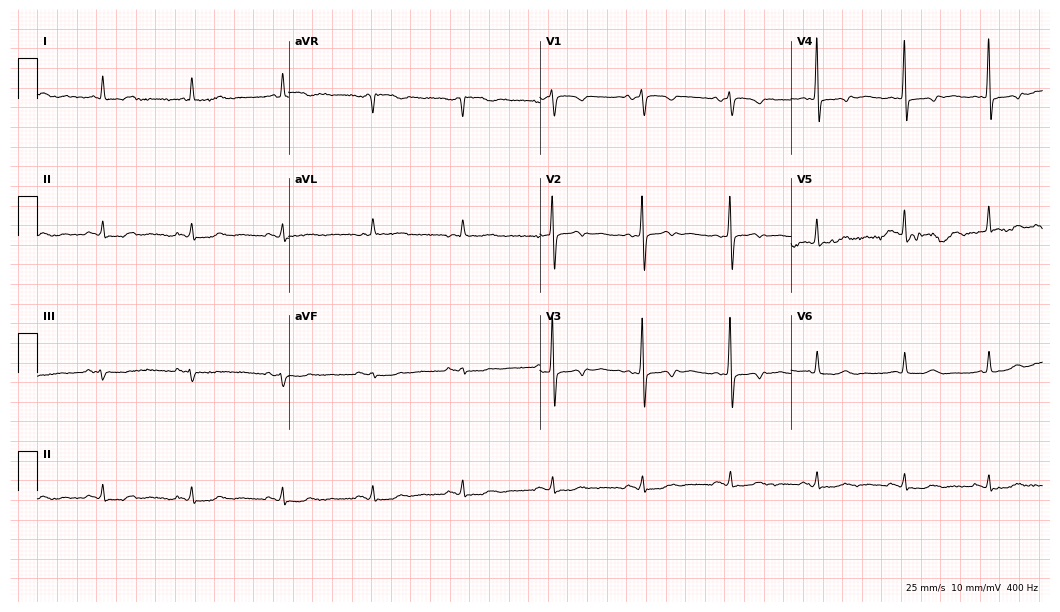
ECG — a female patient, 78 years old. Screened for six findings — first-degree AV block, right bundle branch block, left bundle branch block, sinus bradycardia, atrial fibrillation, sinus tachycardia — none is recorded.